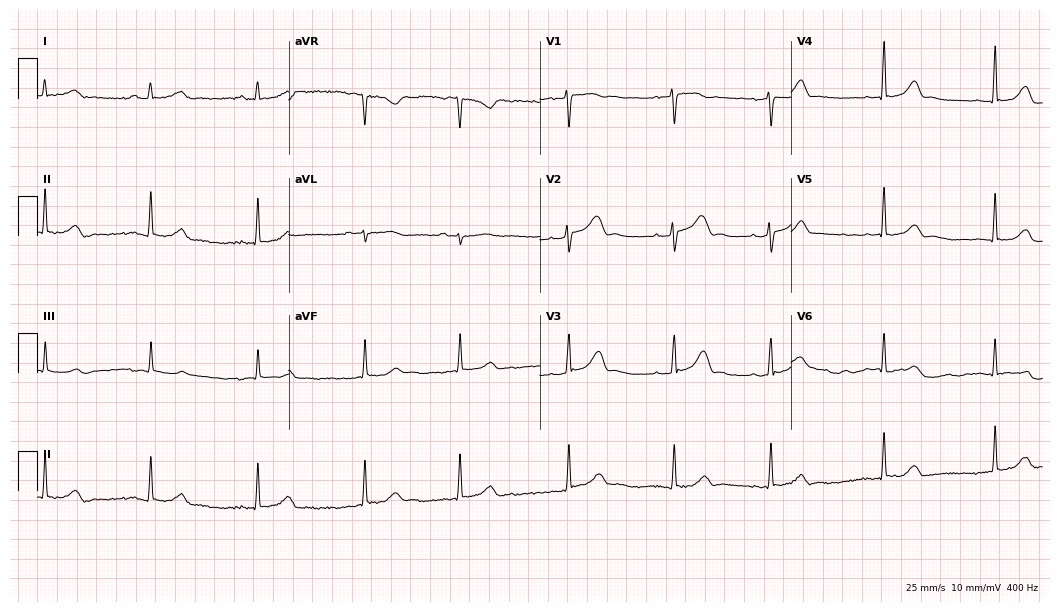
ECG — a female, 29 years old. Labelled as a normal ECG.